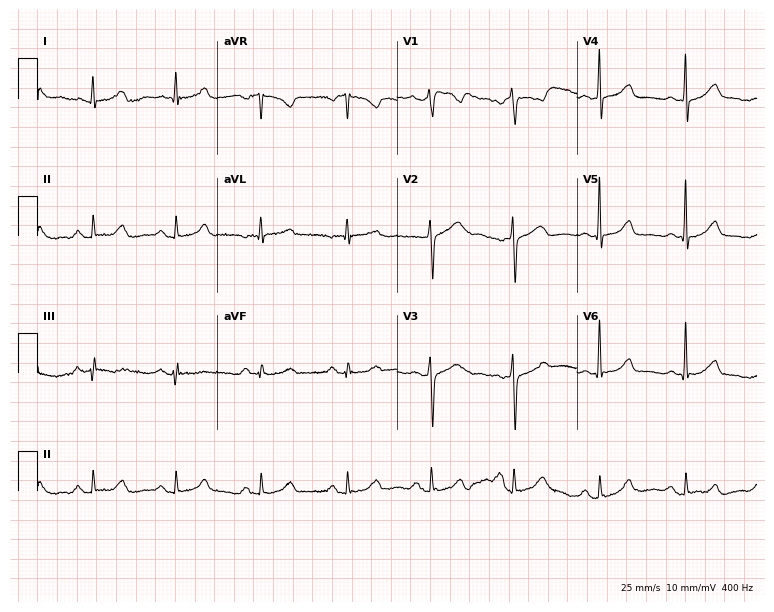
Standard 12-lead ECG recorded from a 50-year-old female patient. Read as a normal ECG.